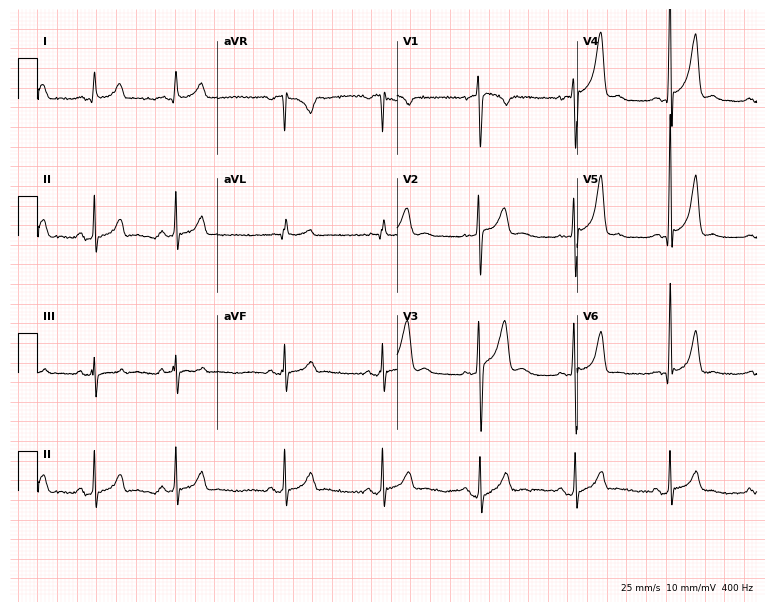
Resting 12-lead electrocardiogram. Patient: a man, 19 years old. None of these six findings is recorded: first-degree AV block, right bundle branch block (RBBB), left bundle branch block (LBBB), sinus bradycardia, atrial fibrillation (AF), sinus tachycardia. Other findings, if any, are not listed.